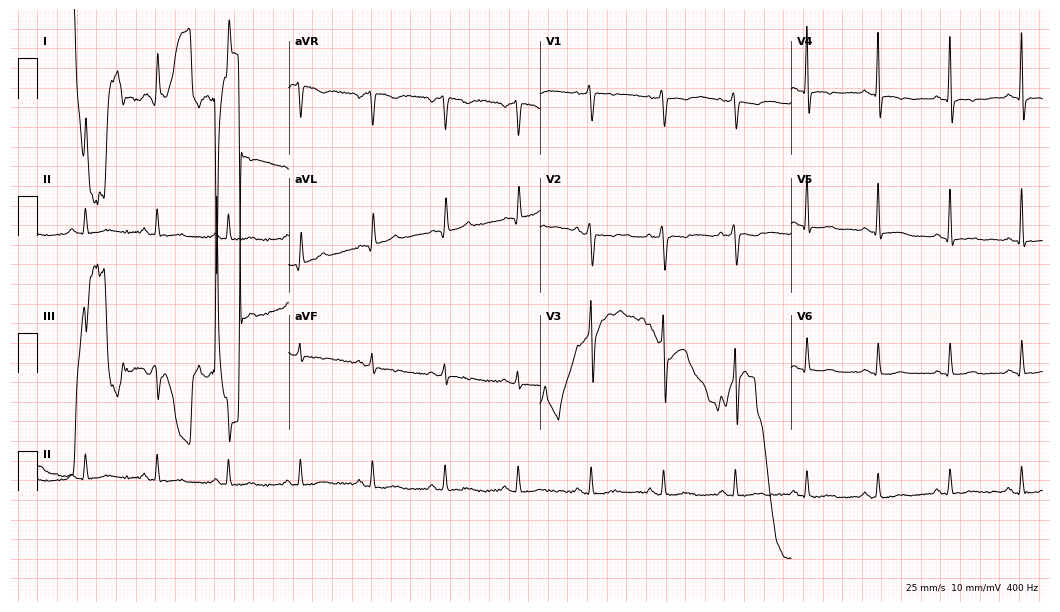
Electrocardiogram, a 65-year-old male patient. Of the six screened findings (first-degree AV block, right bundle branch block, left bundle branch block, sinus bradycardia, atrial fibrillation, sinus tachycardia), none is recorded. Only these six findings were labelled.